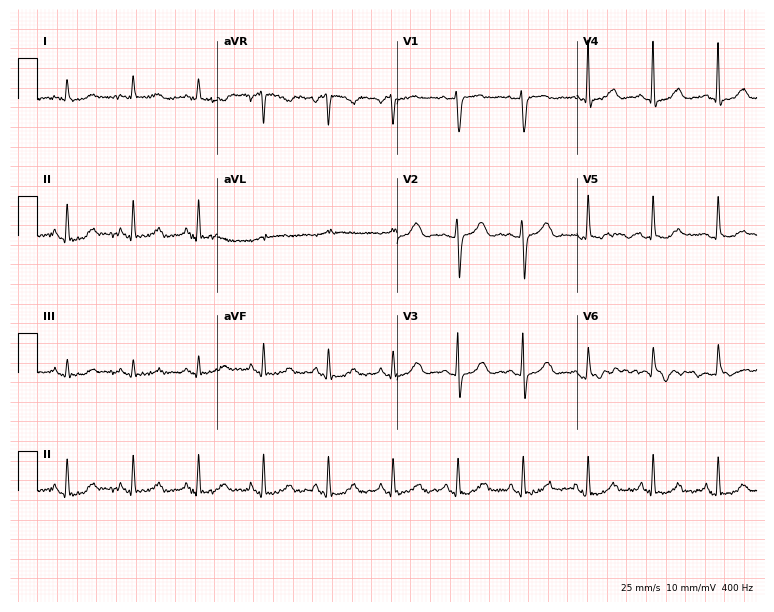
ECG (7.3-second recording at 400 Hz) — a woman, 60 years old. Screened for six findings — first-degree AV block, right bundle branch block, left bundle branch block, sinus bradycardia, atrial fibrillation, sinus tachycardia — none is recorded.